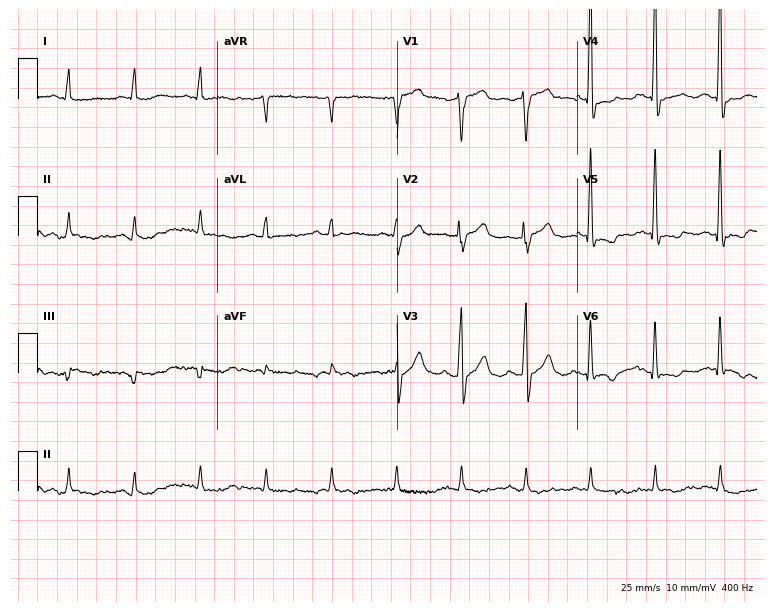
Electrocardiogram, a 61-year-old male patient. Of the six screened findings (first-degree AV block, right bundle branch block (RBBB), left bundle branch block (LBBB), sinus bradycardia, atrial fibrillation (AF), sinus tachycardia), none is recorded.